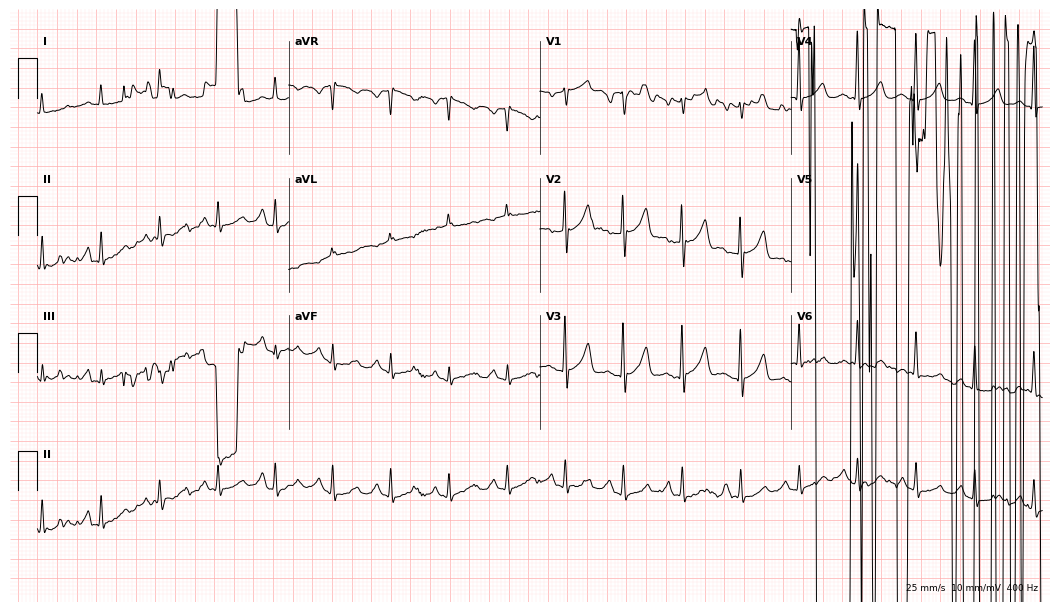
12-lead ECG from a man, 64 years old (10.2-second recording at 400 Hz). No first-degree AV block, right bundle branch block, left bundle branch block, sinus bradycardia, atrial fibrillation or sinus tachycardia recorded for this tracing. Findings outside these six are not listed.